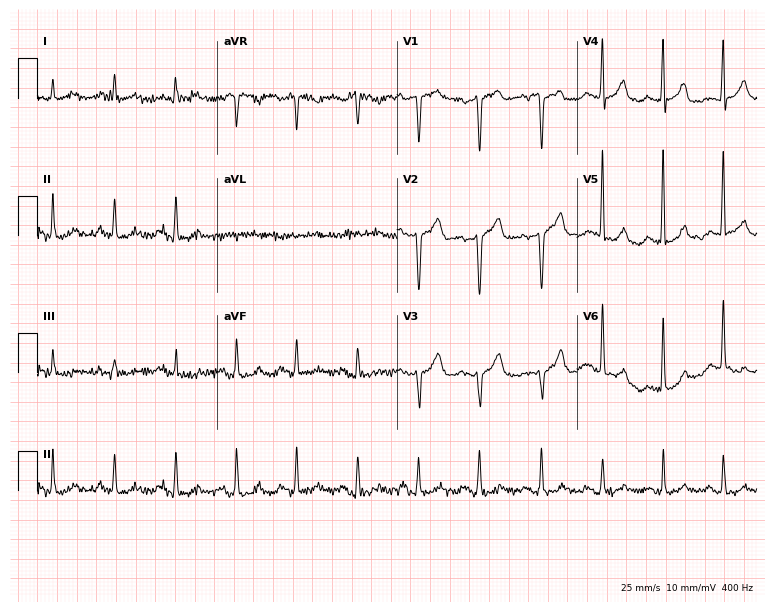
Resting 12-lead electrocardiogram (7.3-second recording at 400 Hz). Patient: a man, 72 years old. None of these six findings is recorded: first-degree AV block, right bundle branch block, left bundle branch block, sinus bradycardia, atrial fibrillation, sinus tachycardia.